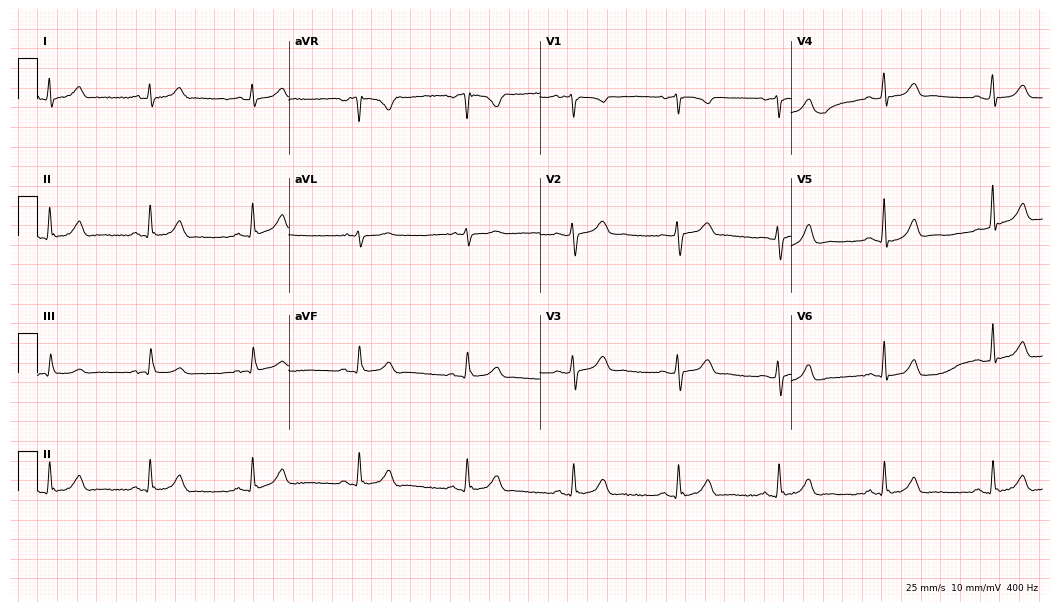
Standard 12-lead ECG recorded from a female patient, 58 years old. Read as a normal ECG.